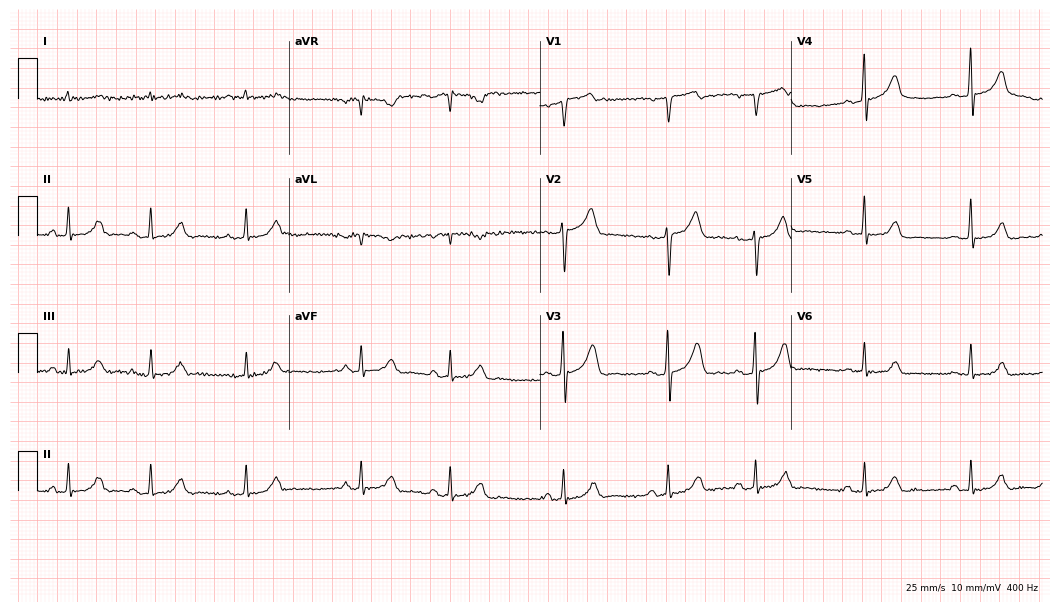
12-lead ECG from a 76-year-old male patient (10.2-second recording at 400 Hz). Recorded interpretation: within normal limits.